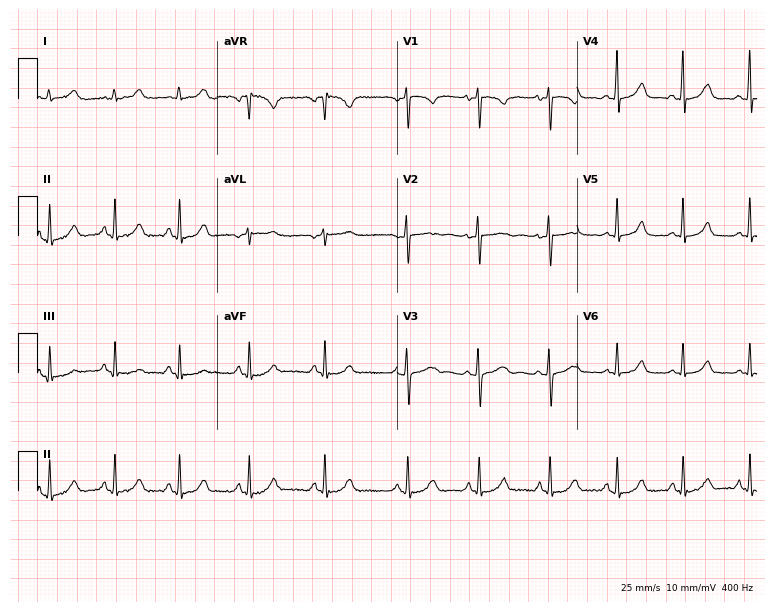
Resting 12-lead electrocardiogram (7.3-second recording at 400 Hz). Patient: a female, 29 years old. None of these six findings is recorded: first-degree AV block, right bundle branch block, left bundle branch block, sinus bradycardia, atrial fibrillation, sinus tachycardia. Findings outside these six are not listed.